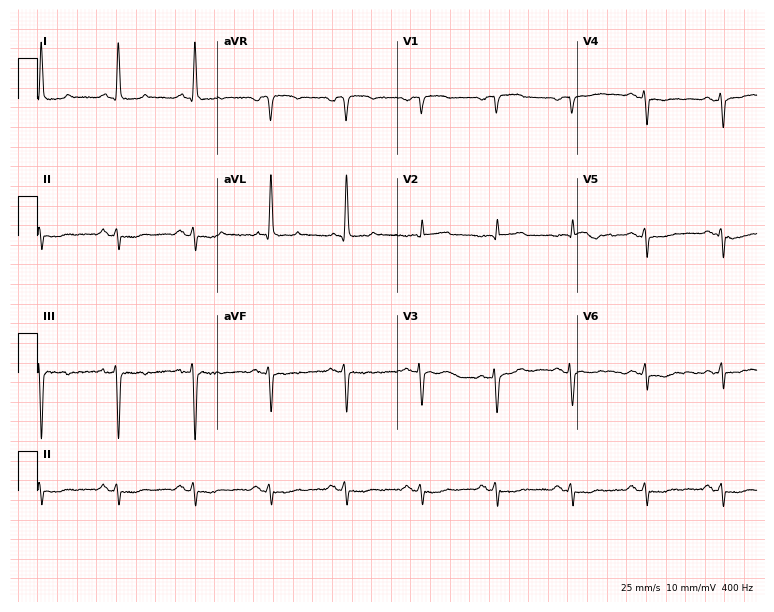
12-lead ECG (7.3-second recording at 400 Hz) from a female patient, 77 years old. Screened for six findings — first-degree AV block, right bundle branch block (RBBB), left bundle branch block (LBBB), sinus bradycardia, atrial fibrillation (AF), sinus tachycardia — none is recorded.